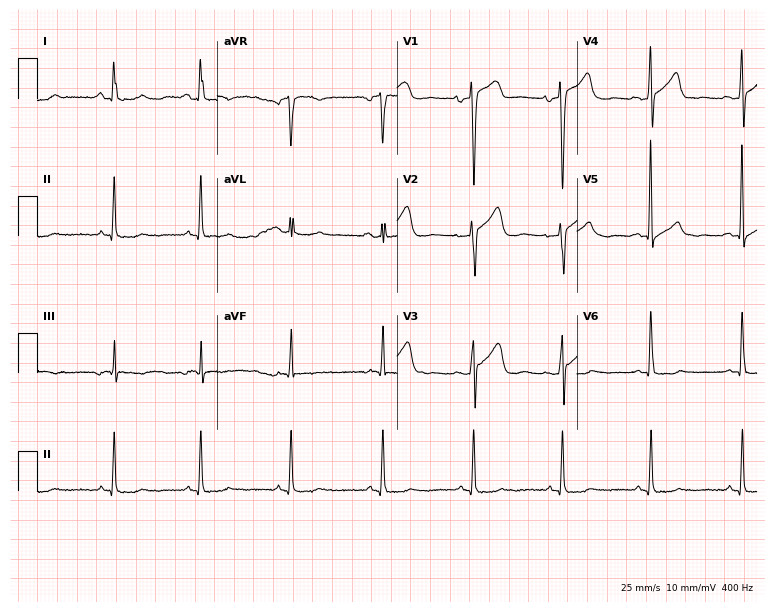
Electrocardiogram (7.3-second recording at 400 Hz), an 82-year-old male patient. Of the six screened findings (first-degree AV block, right bundle branch block (RBBB), left bundle branch block (LBBB), sinus bradycardia, atrial fibrillation (AF), sinus tachycardia), none is recorded.